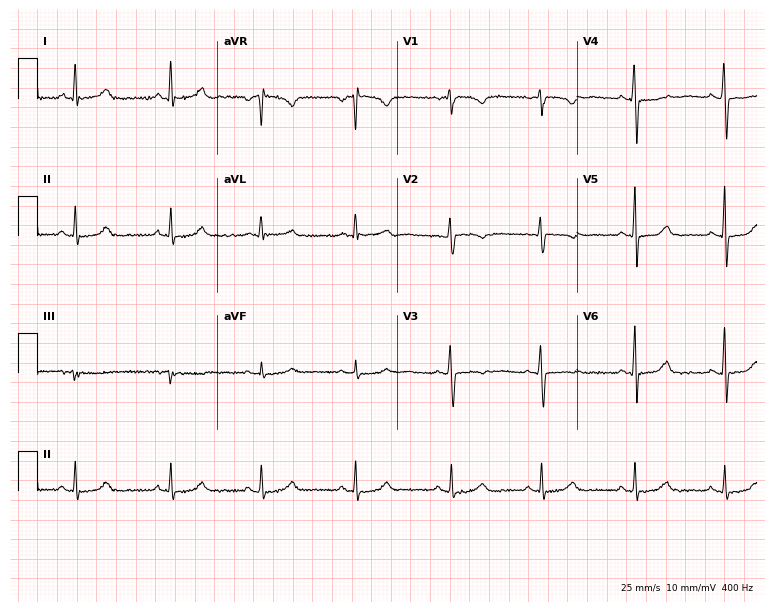
ECG — a woman, 41 years old. Screened for six findings — first-degree AV block, right bundle branch block, left bundle branch block, sinus bradycardia, atrial fibrillation, sinus tachycardia — none is recorded.